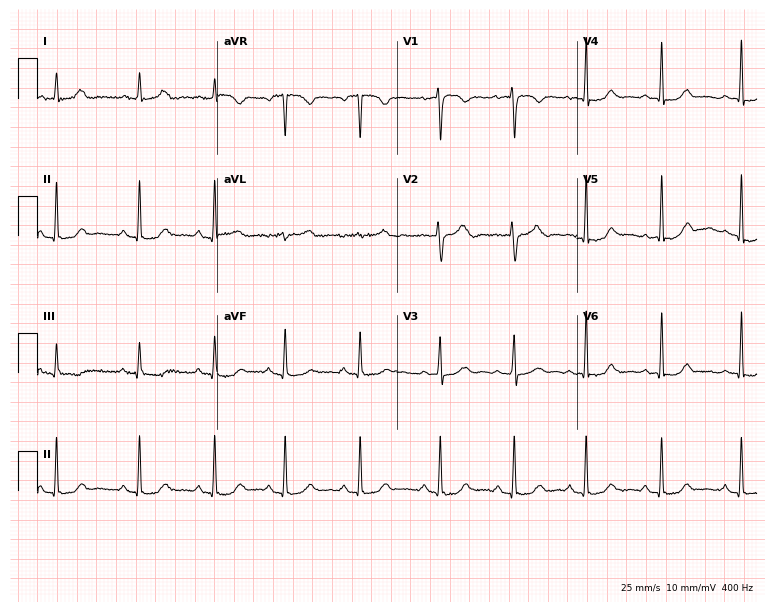
Resting 12-lead electrocardiogram (7.3-second recording at 400 Hz). Patient: a female, 40 years old. Read as a normal ECG.